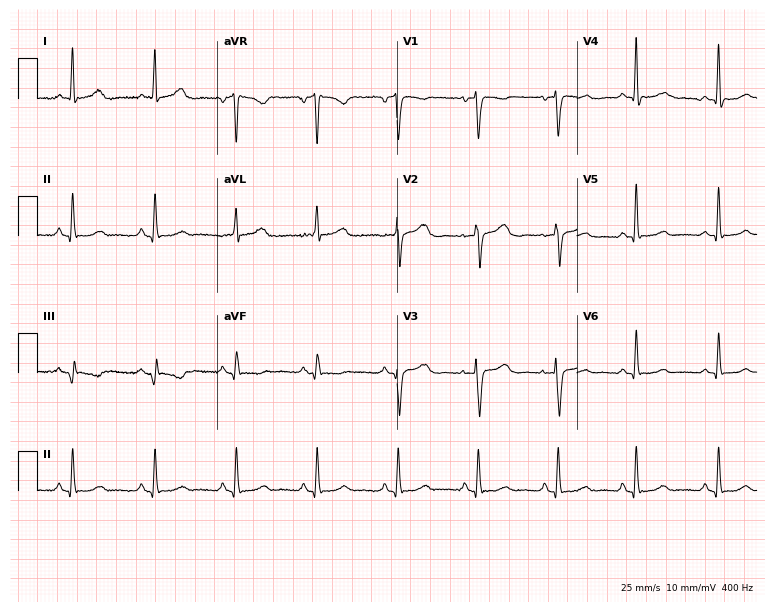
ECG (7.3-second recording at 400 Hz) — a woman, 71 years old. Screened for six findings — first-degree AV block, right bundle branch block (RBBB), left bundle branch block (LBBB), sinus bradycardia, atrial fibrillation (AF), sinus tachycardia — none is recorded.